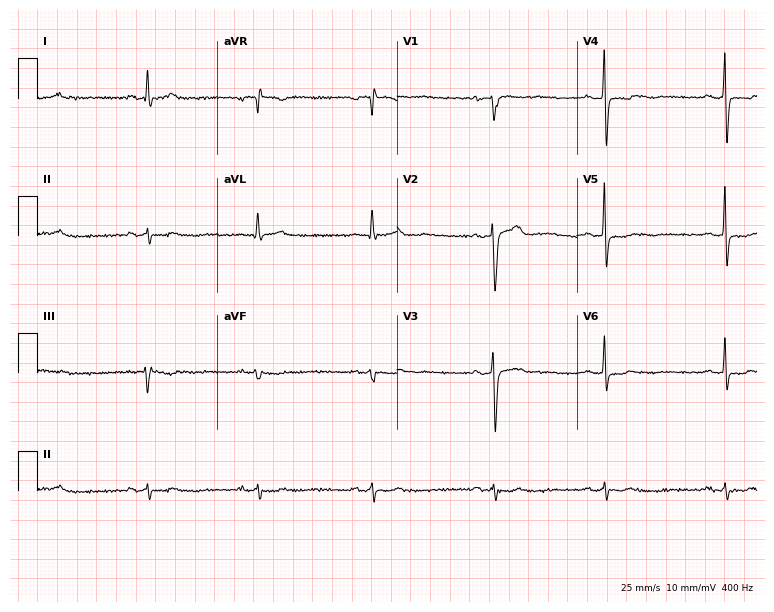
12-lead ECG from a male patient, 65 years old. No first-degree AV block, right bundle branch block, left bundle branch block, sinus bradycardia, atrial fibrillation or sinus tachycardia recorded for this tracing. Other findings, if any, are not listed.